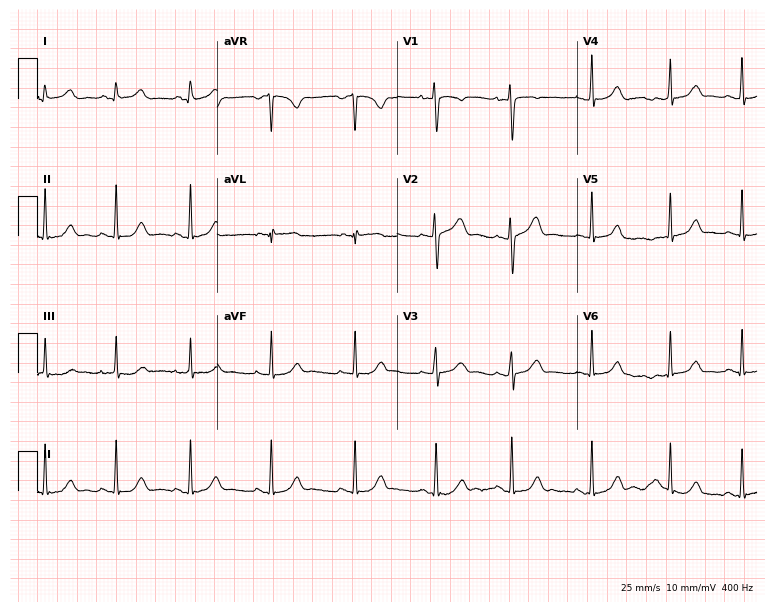
ECG — a 20-year-old woman. Labelled as a normal ECG.